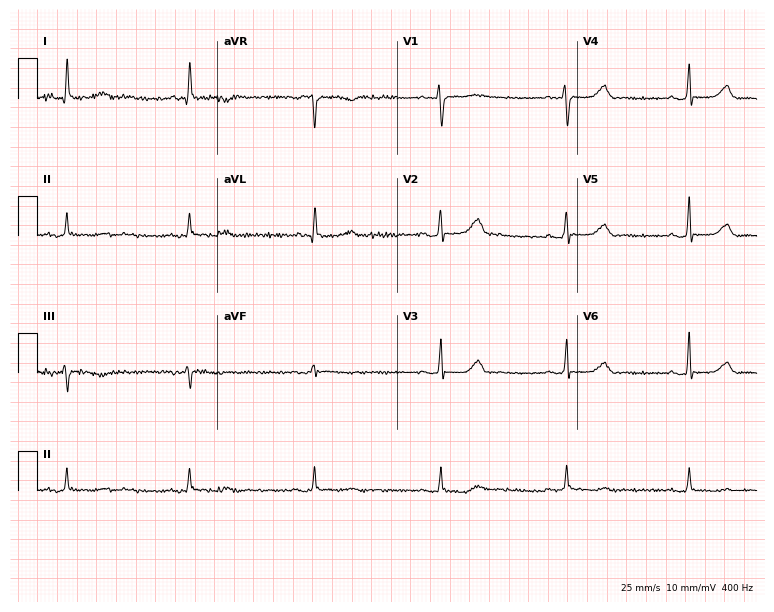
Electrocardiogram (7.3-second recording at 400 Hz), a female patient, 69 years old. Of the six screened findings (first-degree AV block, right bundle branch block, left bundle branch block, sinus bradycardia, atrial fibrillation, sinus tachycardia), none is recorded.